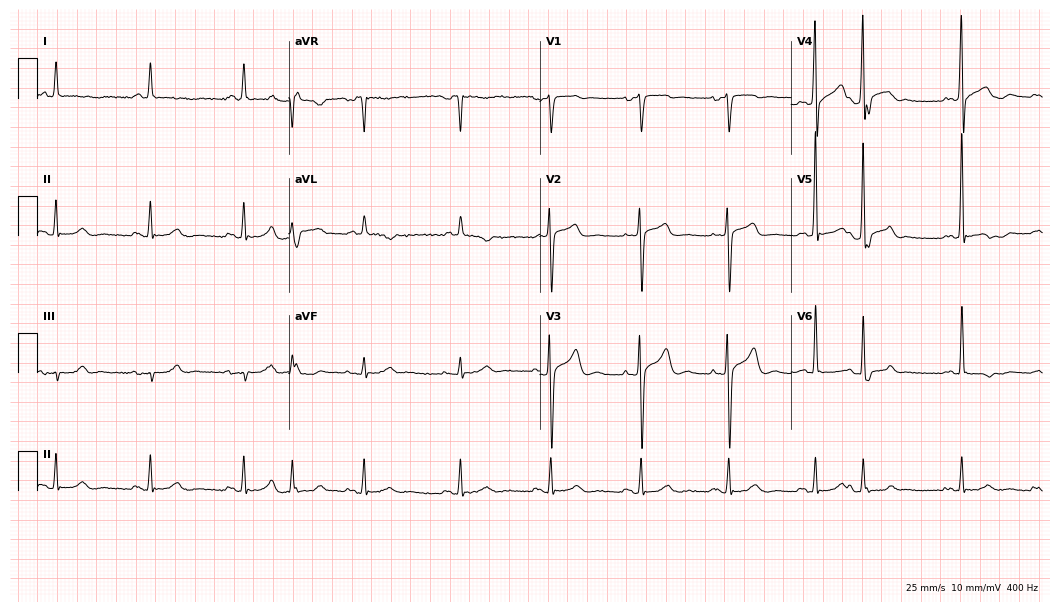
Standard 12-lead ECG recorded from a 77-year-old male (10.2-second recording at 400 Hz). None of these six findings is recorded: first-degree AV block, right bundle branch block, left bundle branch block, sinus bradycardia, atrial fibrillation, sinus tachycardia.